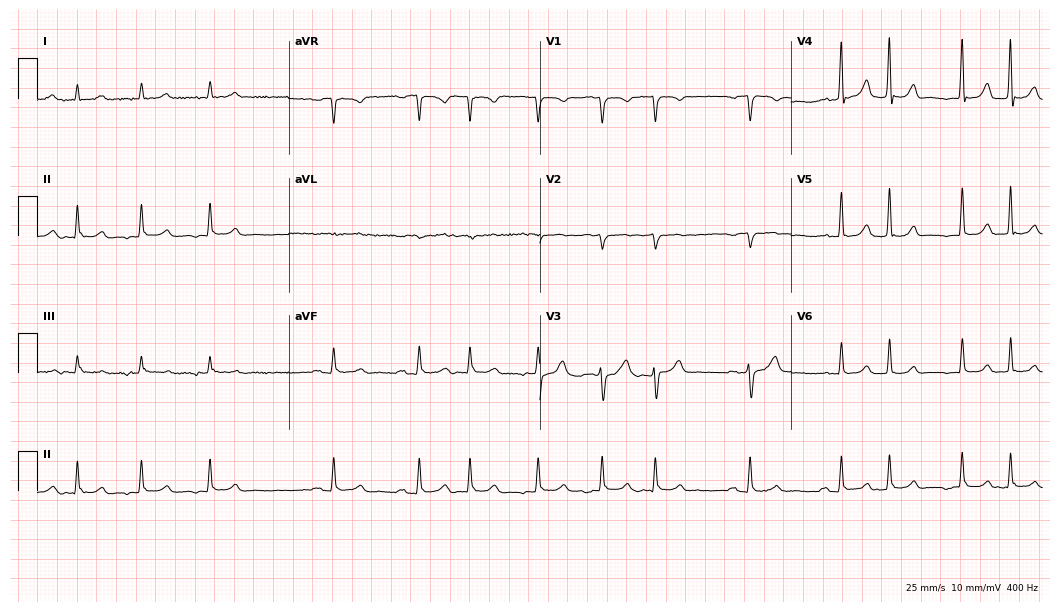
Electrocardiogram, a 68-year-old male. Of the six screened findings (first-degree AV block, right bundle branch block, left bundle branch block, sinus bradycardia, atrial fibrillation, sinus tachycardia), none is recorded. Only these six findings were labelled.